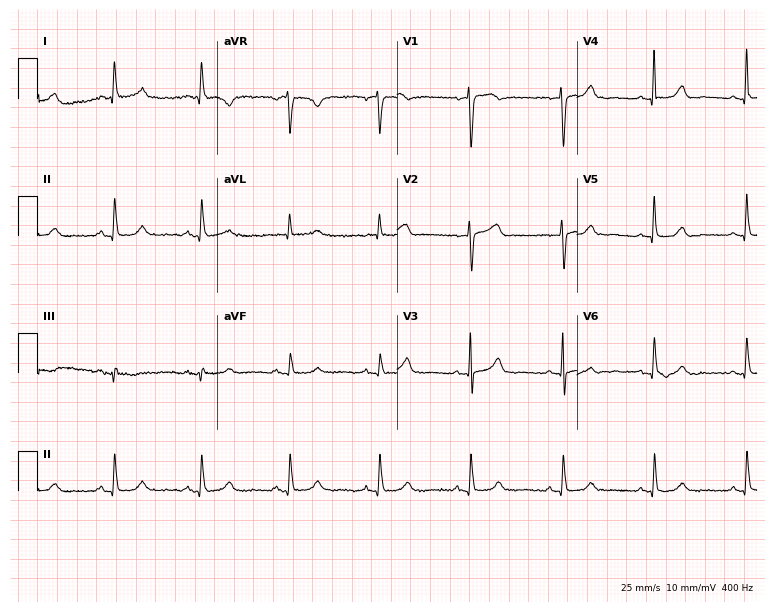
Resting 12-lead electrocardiogram. Patient: a female, 64 years old. Read as a normal ECG.